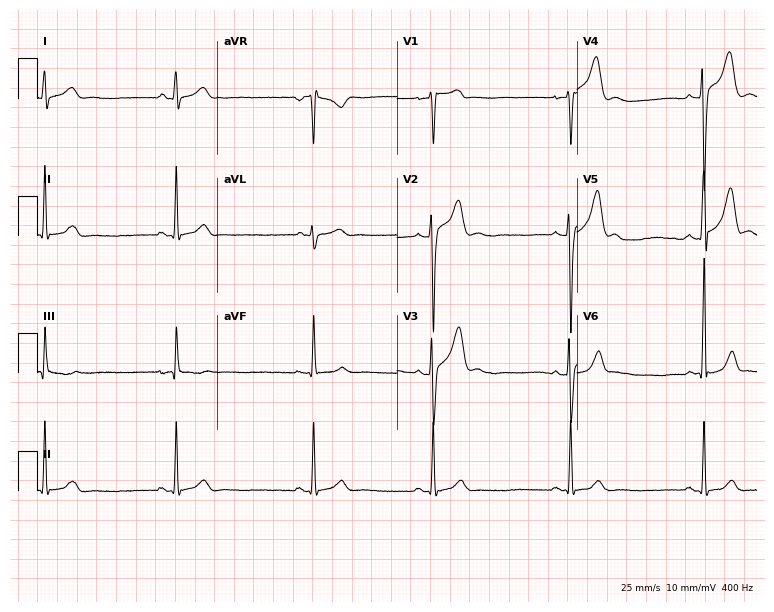
Resting 12-lead electrocardiogram (7.3-second recording at 400 Hz). Patient: a 21-year-old man. The tracing shows sinus bradycardia (a sinus rate of 50 beats per minute or less).